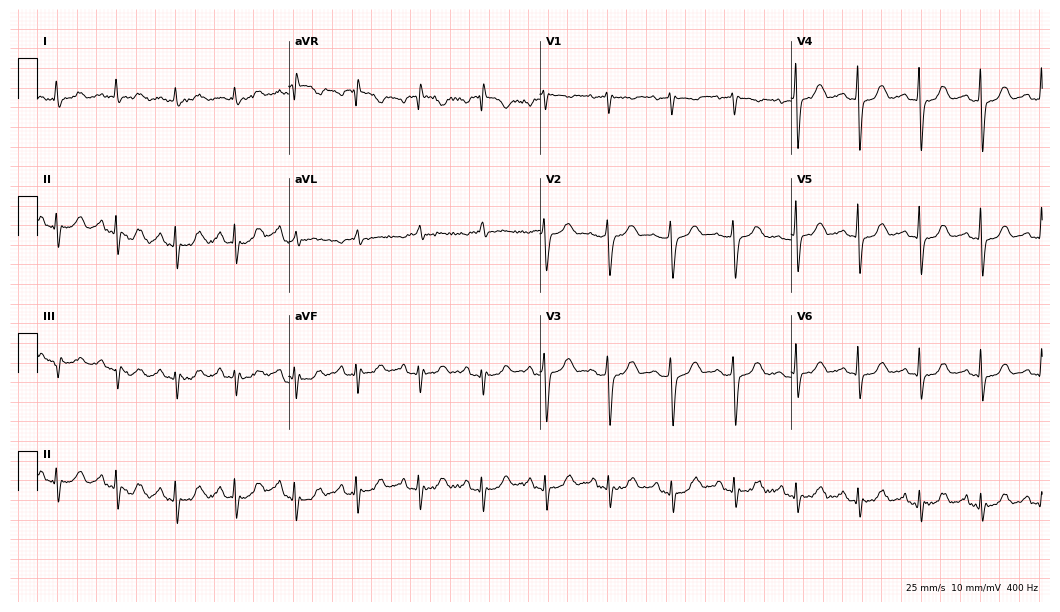
Resting 12-lead electrocardiogram (10.2-second recording at 400 Hz). Patient: a 68-year-old woman. None of these six findings is recorded: first-degree AV block, right bundle branch block, left bundle branch block, sinus bradycardia, atrial fibrillation, sinus tachycardia.